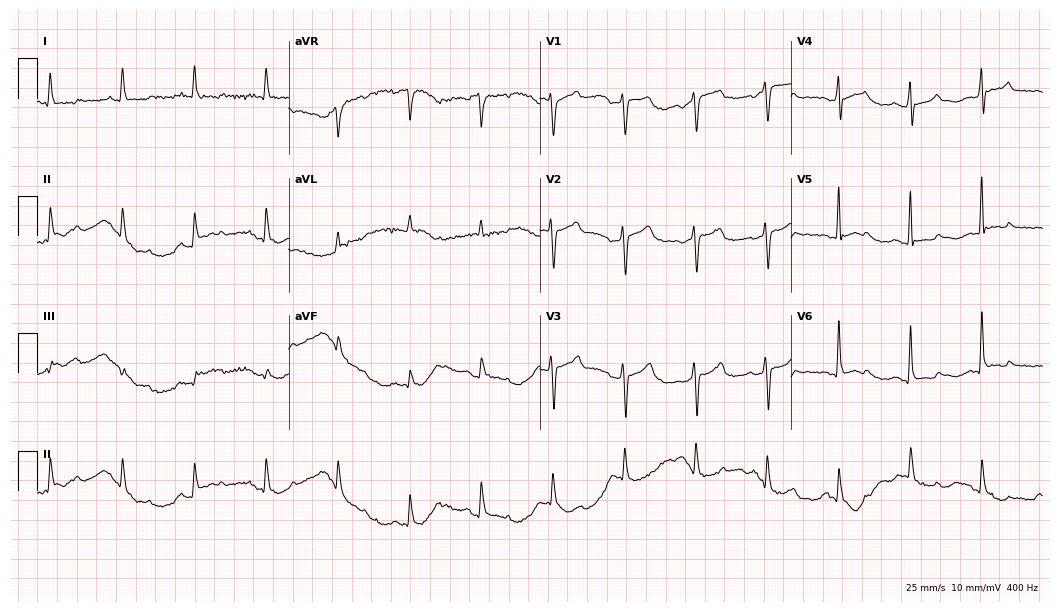
Resting 12-lead electrocardiogram. Patient: a 71-year-old female. Read as a normal ECG.